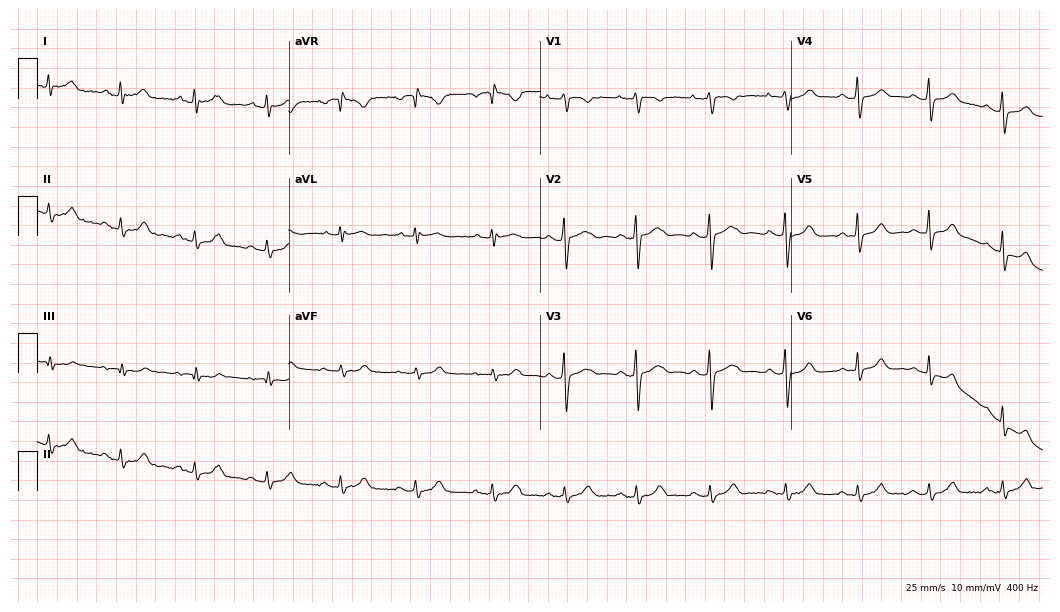
ECG (10.2-second recording at 400 Hz) — a 30-year-old female. Labelled as a normal ECG.